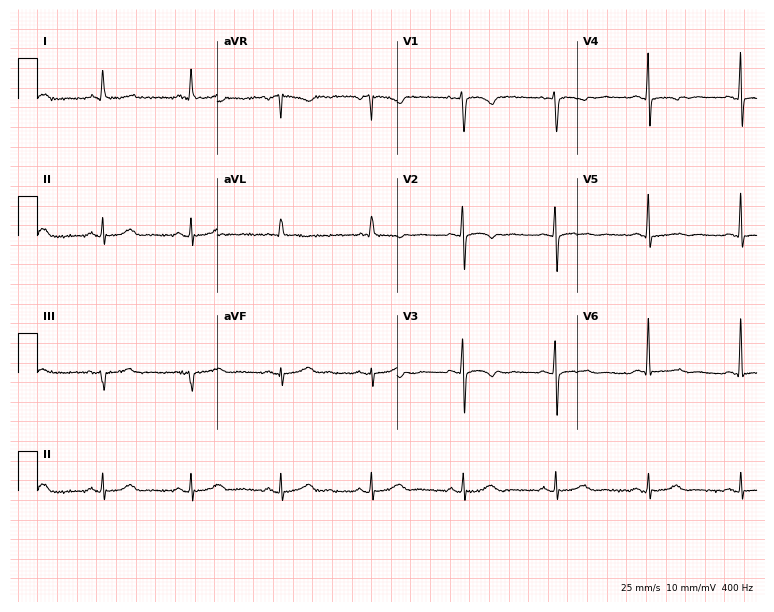
Standard 12-lead ECG recorded from a female, 63 years old (7.3-second recording at 400 Hz). None of these six findings is recorded: first-degree AV block, right bundle branch block, left bundle branch block, sinus bradycardia, atrial fibrillation, sinus tachycardia. Other findings, if any, are not listed.